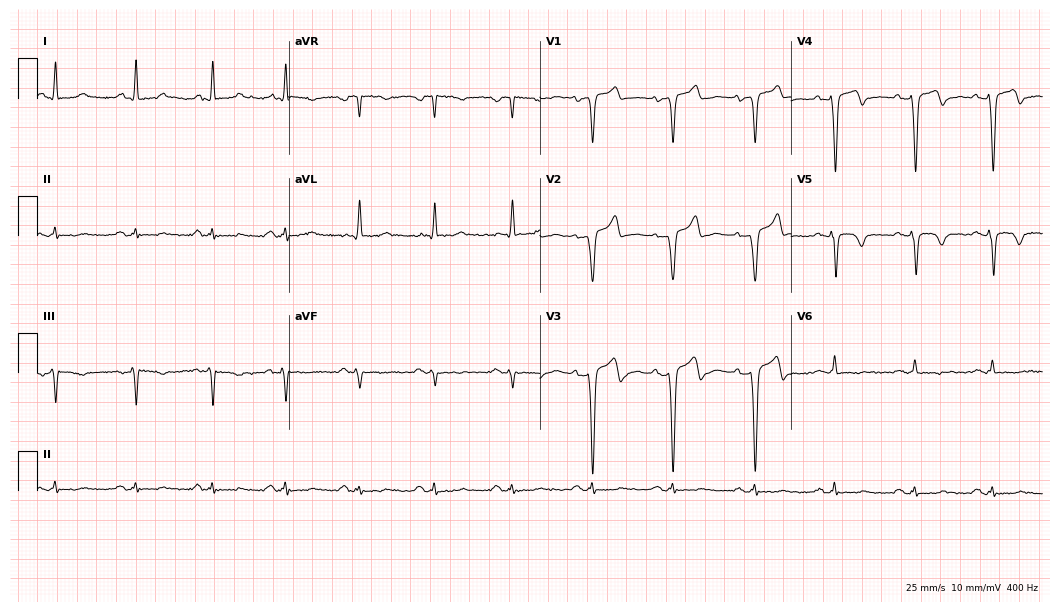
Standard 12-lead ECG recorded from a 48-year-old male patient. None of these six findings is recorded: first-degree AV block, right bundle branch block, left bundle branch block, sinus bradycardia, atrial fibrillation, sinus tachycardia.